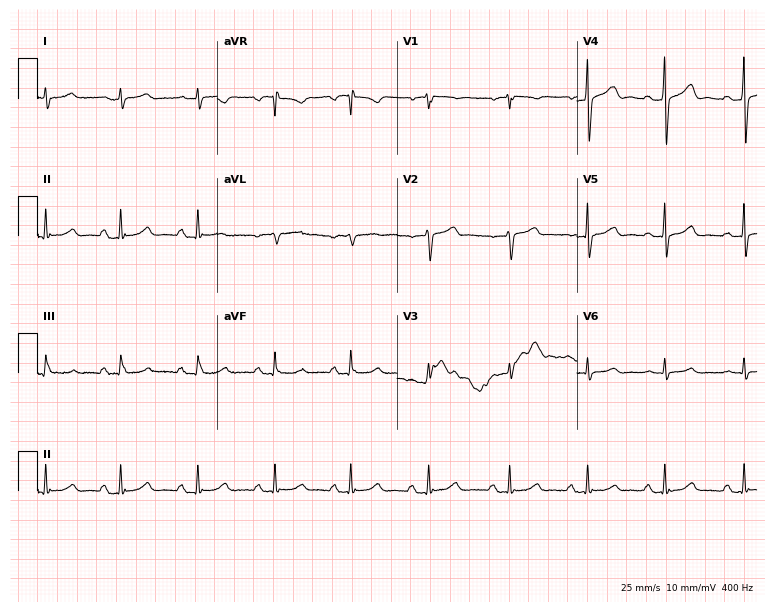
Standard 12-lead ECG recorded from a 56-year-old male. None of these six findings is recorded: first-degree AV block, right bundle branch block, left bundle branch block, sinus bradycardia, atrial fibrillation, sinus tachycardia. Findings outside these six are not listed.